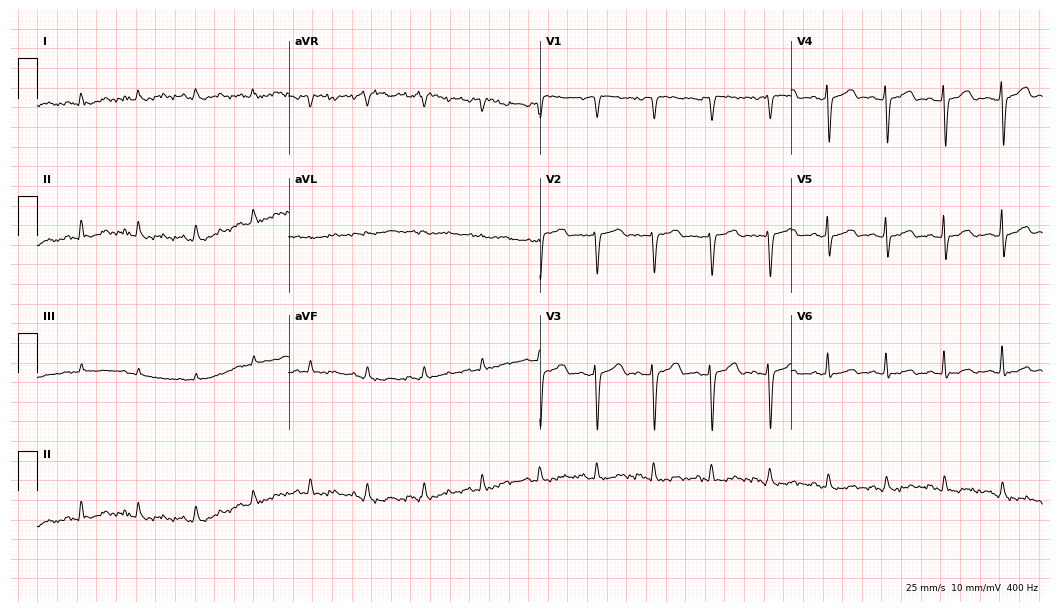
12-lead ECG (10.2-second recording at 400 Hz) from a female patient, 80 years old. Screened for six findings — first-degree AV block, right bundle branch block, left bundle branch block, sinus bradycardia, atrial fibrillation, sinus tachycardia — none is recorded. Only these six findings were labelled.